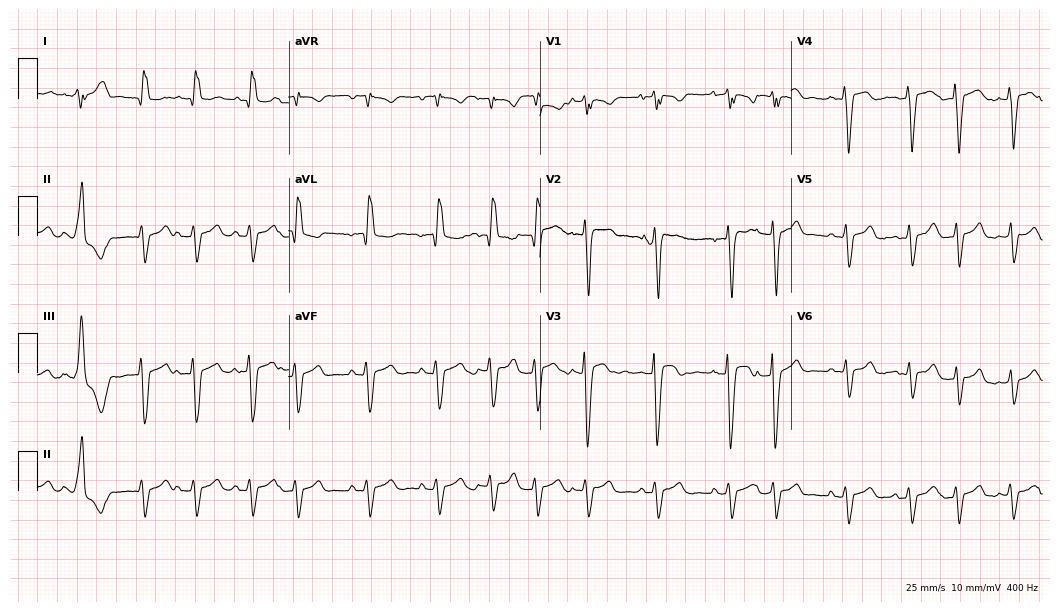
Resting 12-lead electrocardiogram (10.2-second recording at 400 Hz). Patient: a woman, 42 years old. None of these six findings is recorded: first-degree AV block, right bundle branch block, left bundle branch block, sinus bradycardia, atrial fibrillation, sinus tachycardia. Other findings, if any, are not listed.